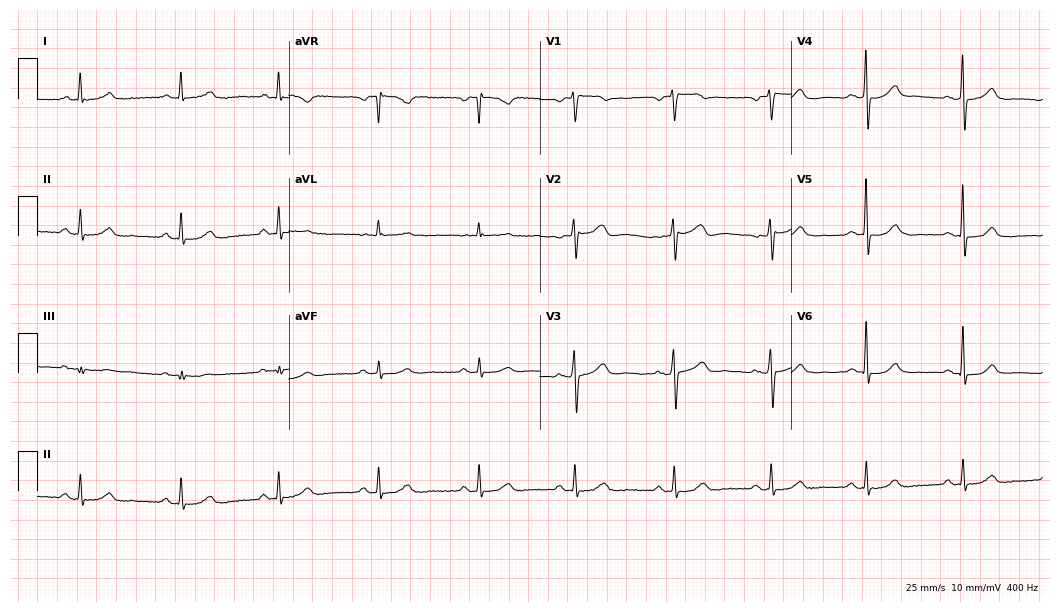
Electrocardiogram, a female patient, 68 years old. Overall reading on record: normal ECG.